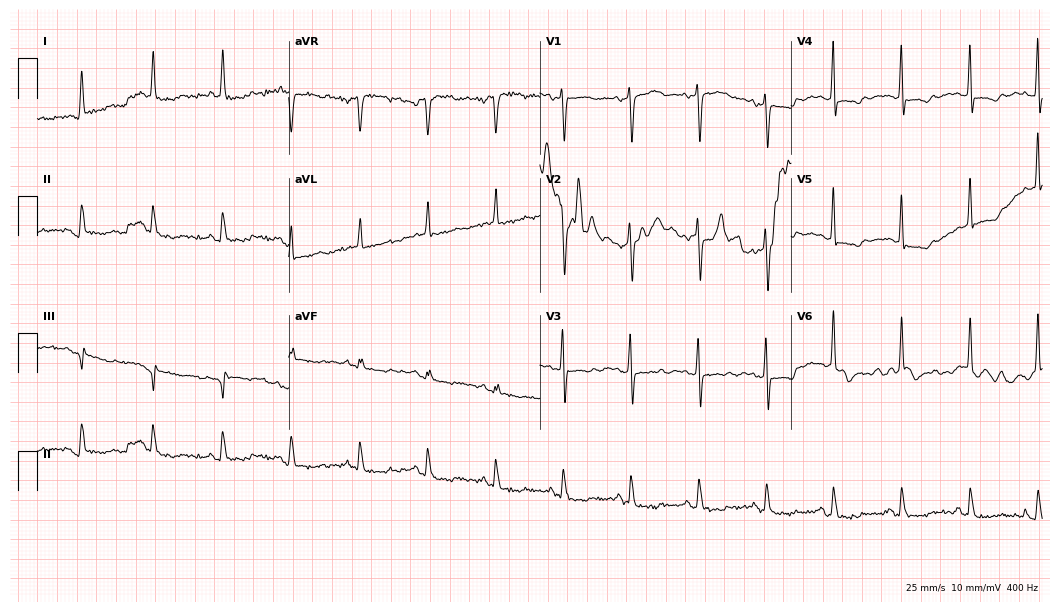
ECG — an 80-year-old female patient. Screened for six findings — first-degree AV block, right bundle branch block (RBBB), left bundle branch block (LBBB), sinus bradycardia, atrial fibrillation (AF), sinus tachycardia — none is recorded. Only these six findings were labelled.